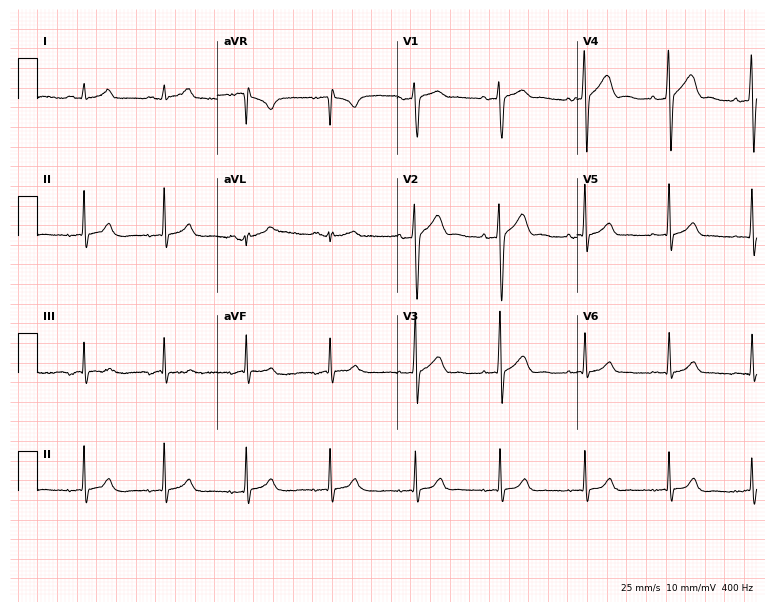
Standard 12-lead ECG recorded from a 30-year-old male (7.3-second recording at 400 Hz). Read as a normal ECG.